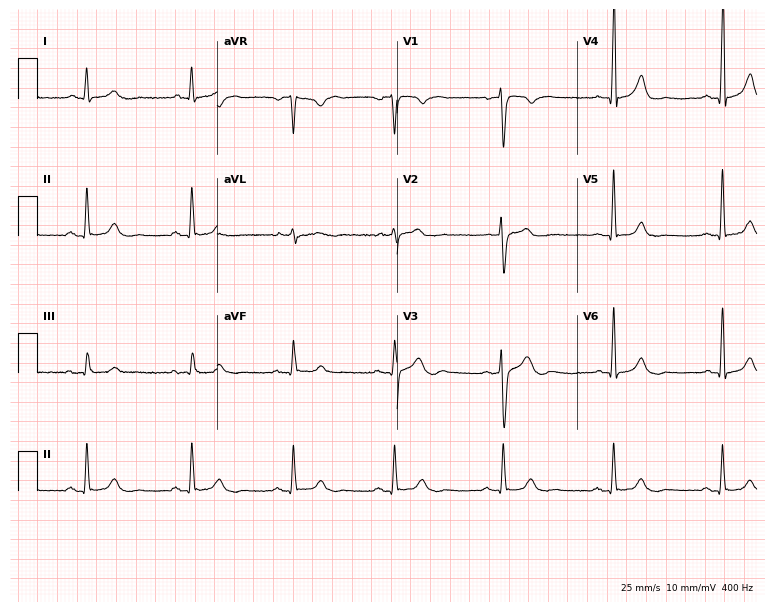
ECG — a man, 40 years old. Labelled as a normal ECG.